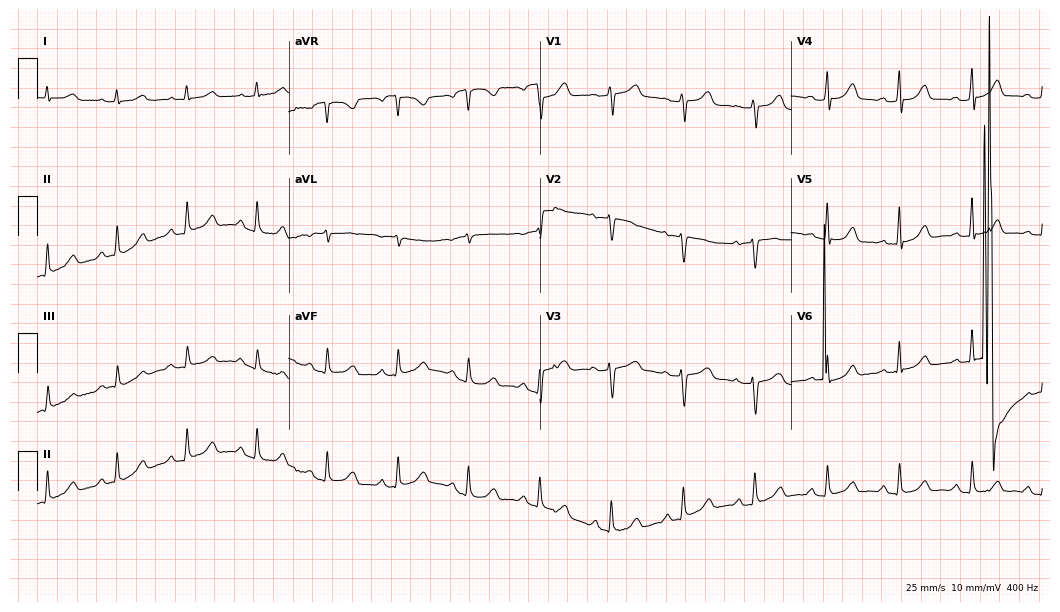
Resting 12-lead electrocardiogram. Patient: a female, 56 years old. None of these six findings is recorded: first-degree AV block, right bundle branch block, left bundle branch block, sinus bradycardia, atrial fibrillation, sinus tachycardia.